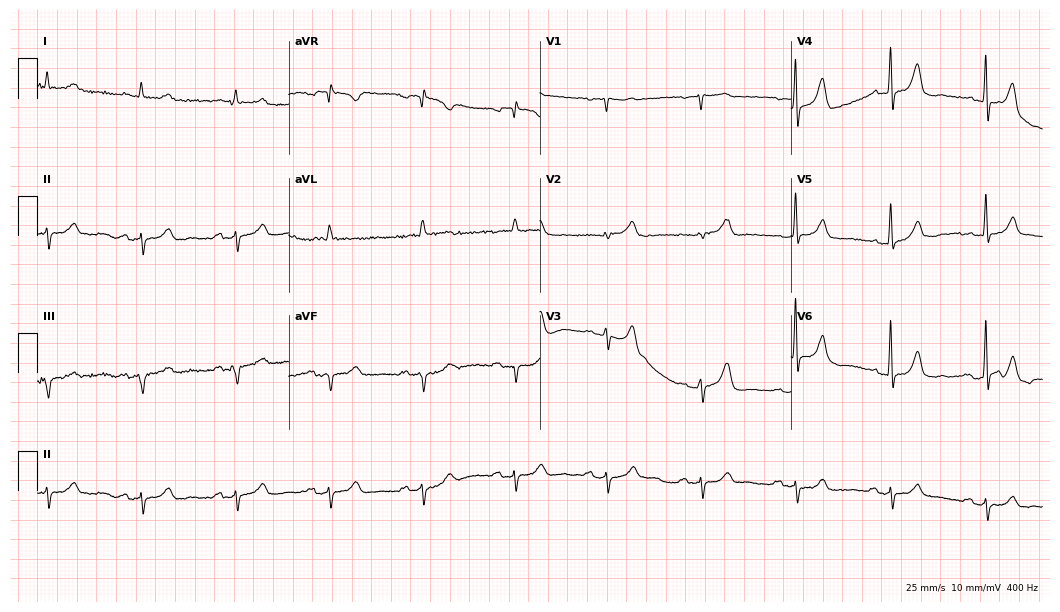
12-lead ECG from a male, 82 years old. No first-degree AV block, right bundle branch block, left bundle branch block, sinus bradycardia, atrial fibrillation or sinus tachycardia recorded for this tracing.